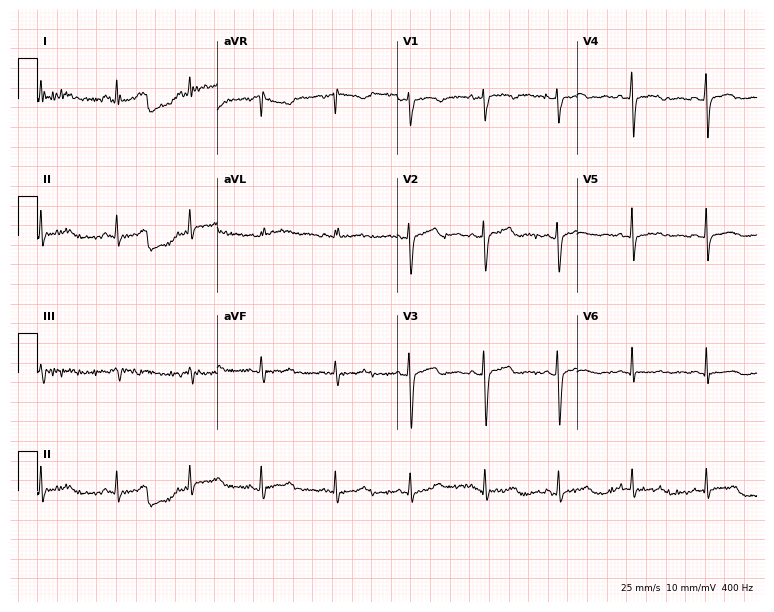
Standard 12-lead ECG recorded from a 24-year-old female (7.3-second recording at 400 Hz). None of these six findings is recorded: first-degree AV block, right bundle branch block (RBBB), left bundle branch block (LBBB), sinus bradycardia, atrial fibrillation (AF), sinus tachycardia. Findings outside these six are not listed.